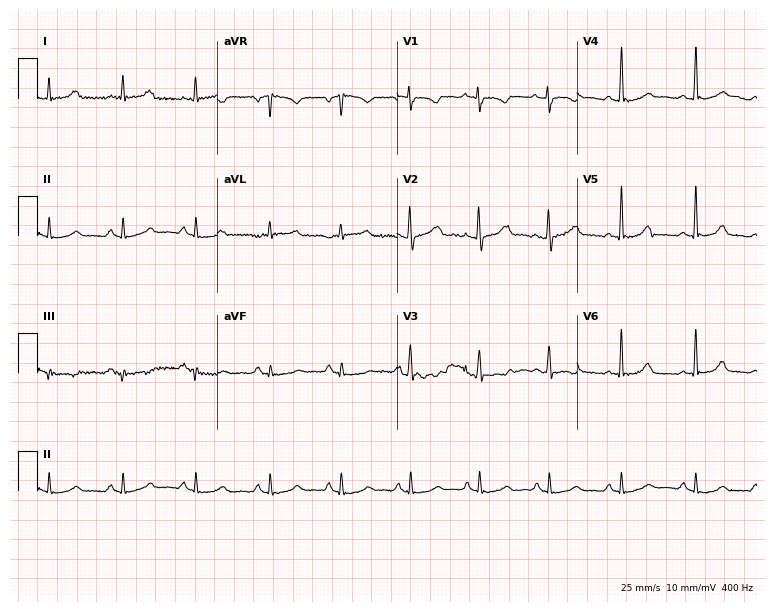
ECG — a 37-year-old female patient. Labelled as a normal ECG.